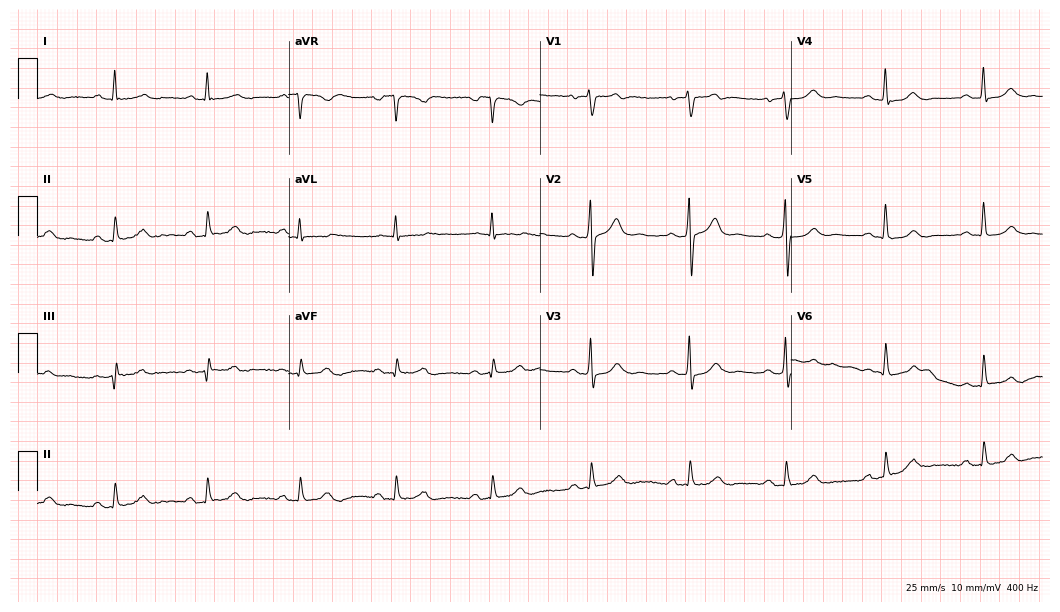
12-lead ECG from a male patient, 50 years old. Recorded interpretation: within normal limits.